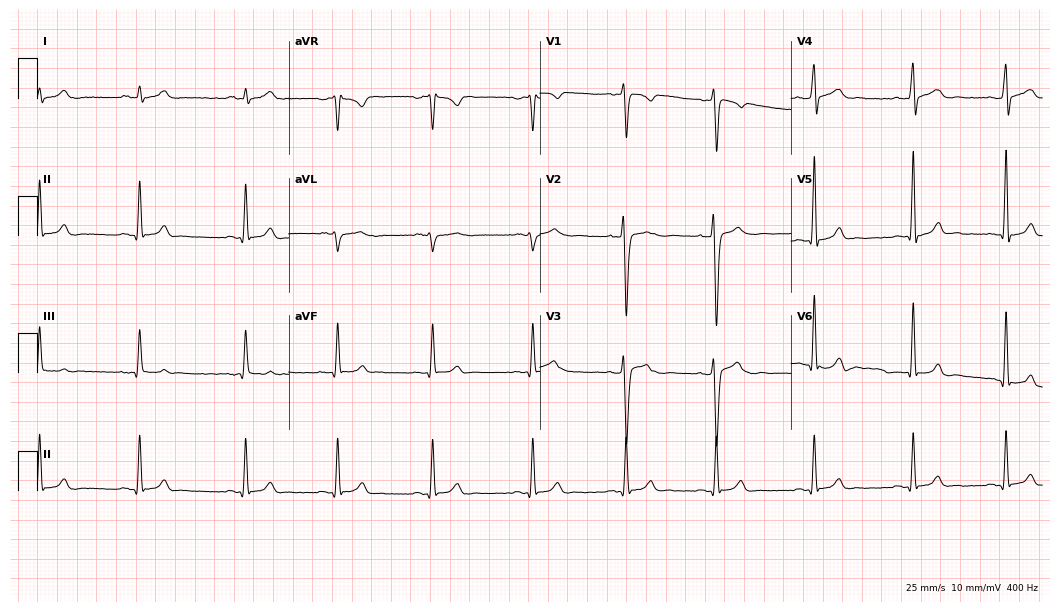
Standard 12-lead ECG recorded from a man, 24 years old (10.2-second recording at 400 Hz). Read as a normal ECG.